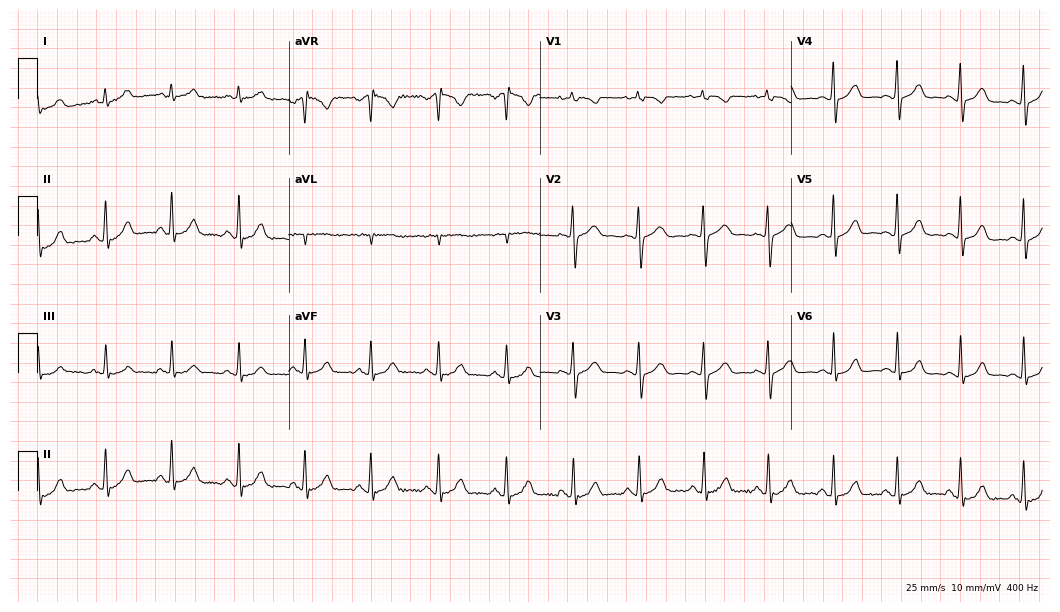
12-lead ECG from a woman, 49 years old (10.2-second recording at 400 Hz). Recorded interpretation: within normal limits.